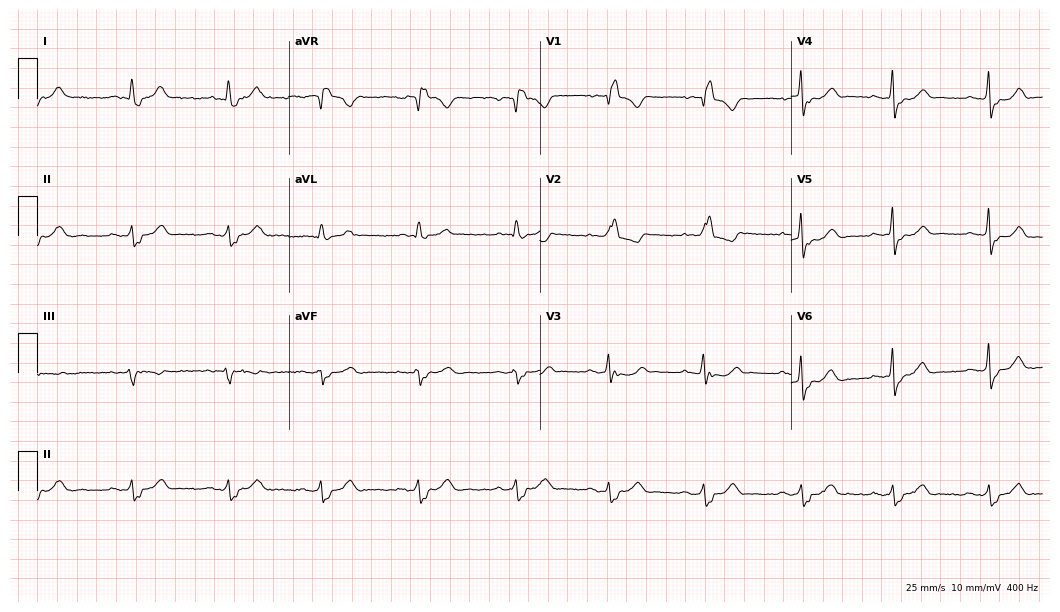
Standard 12-lead ECG recorded from a woman, 62 years old (10.2-second recording at 400 Hz). The tracing shows right bundle branch block (RBBB).